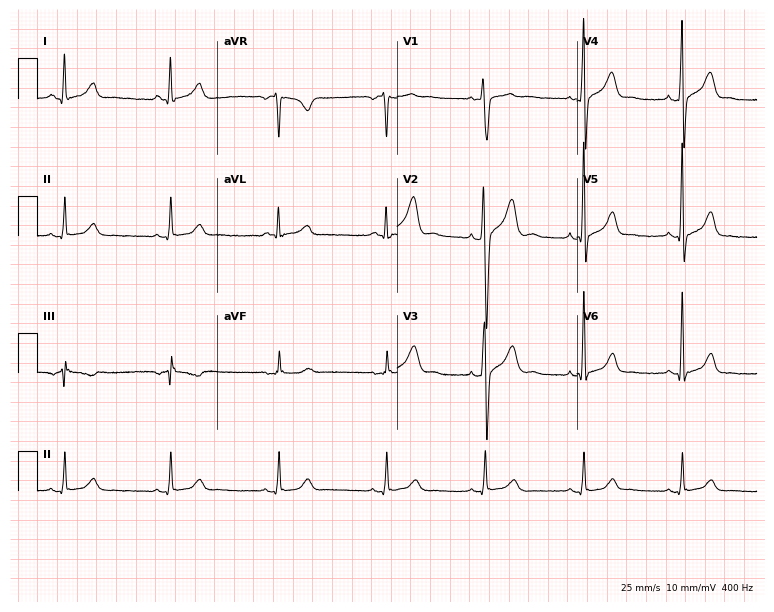
Standard 12-lead ECG recorded from a male, 37 years old (7.3-second recording at 400 Hz). None of these six findings is recorded: first-degree AV block, right bundle branch block, left bundle branch block, sinus bradycardia, atrial fibrillation, sinus tachycardia.